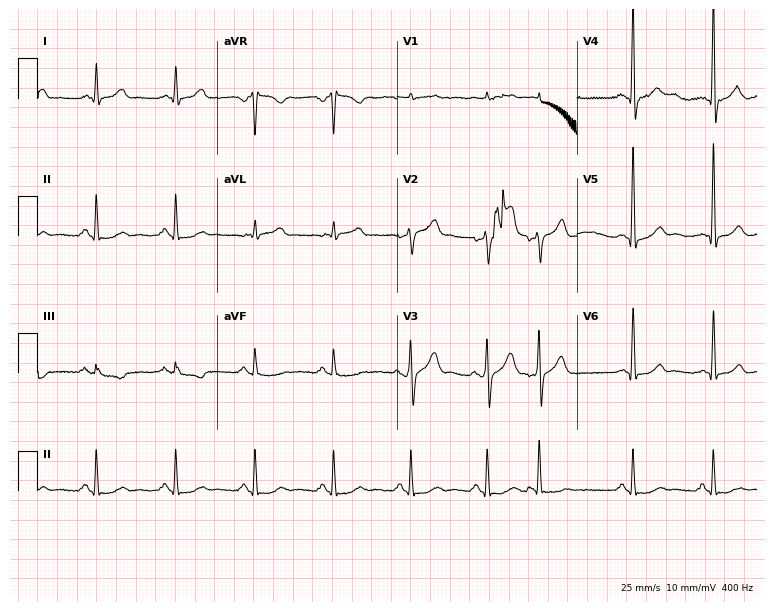
Electrocardiogram, a male, 45 years old. Overall reading on record: normal ECG.